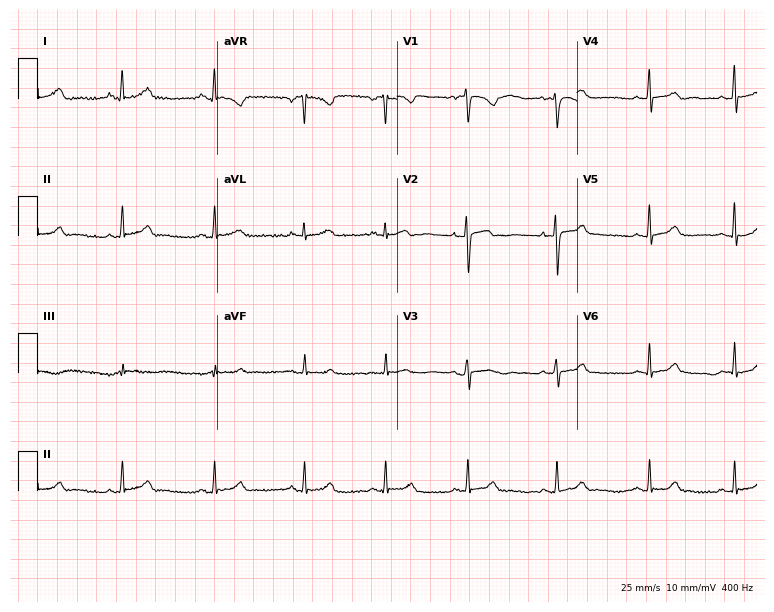
Resting 12-lead electrocardiogram. Patient: a woman, 27 years old. None of these six findings is recorded: first-degree AV block, right bundle branch block (RBBB), left bundle branch block (LBBB), sinus bradycardia, atrial fibrillation (AF), sinus tachycardia. Other findings, if any, are not listed.